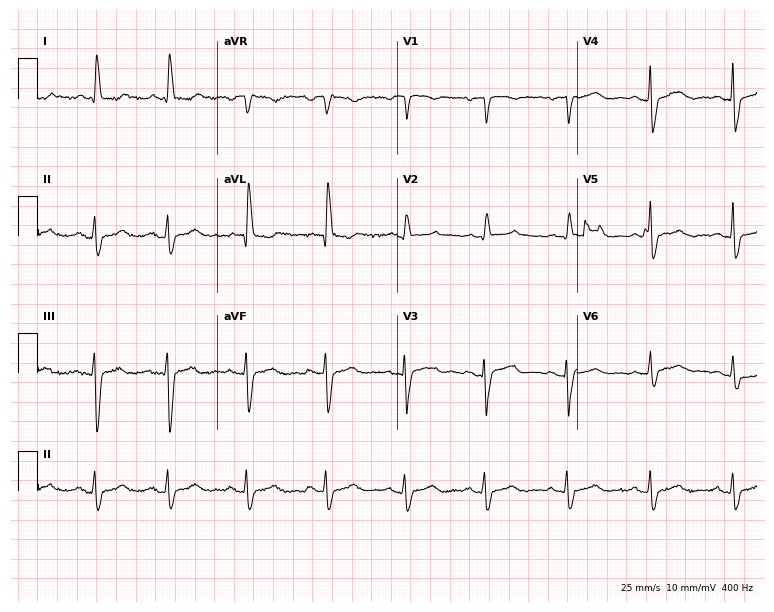
12-lead ECG from a 75-year-old woman (7.3-second recording at 400 Hz). No first-degree AV block, right bundle branch block, left bundle branch block, sinus bradycardia, atrial fibrillation or sinus tachycardia recorded for this tracing.